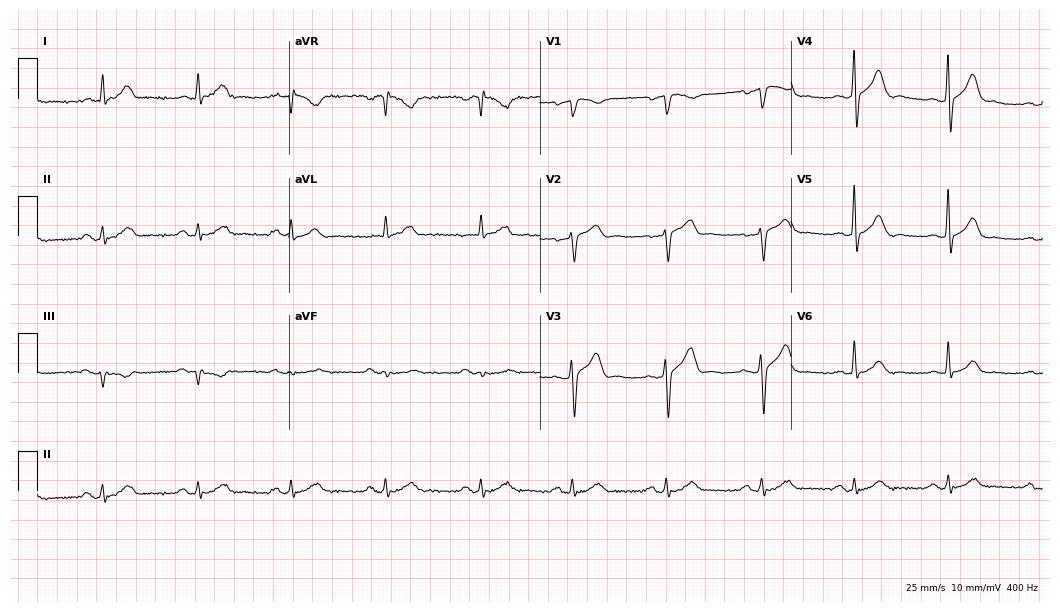
Electrocardiogram (10.2-second recording at 400 Hz), a man, 56 years old. Overall reading on record: normal ECG.